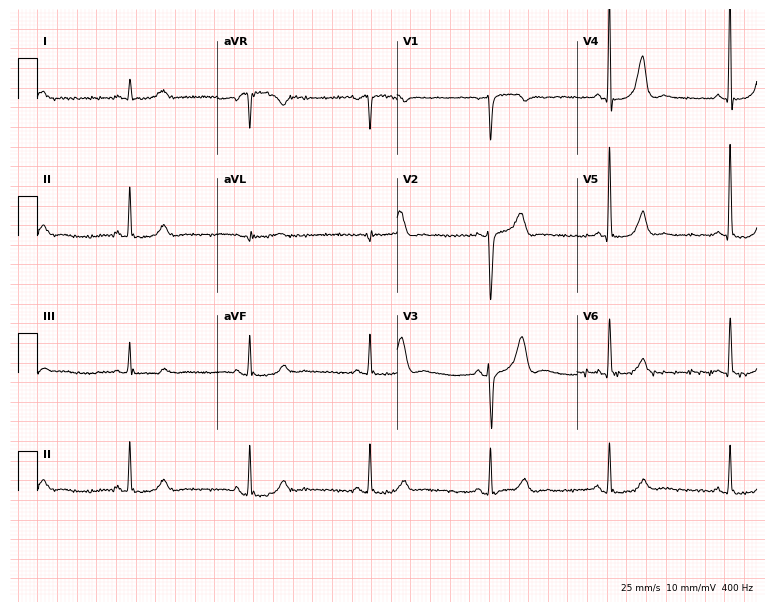
12-lead ECG from a 67-year-old male patient. Findings include sinus bradycardia (a sinus rate of 50 beats per minute or less).